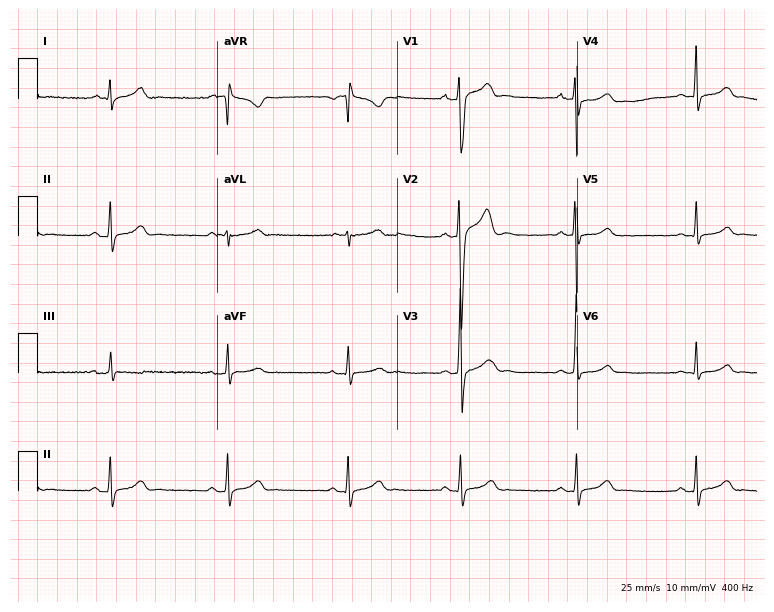
ECG (7.3-second recording at 400 Hz) — a male, 22 years old. Labelled as a normal ECG.